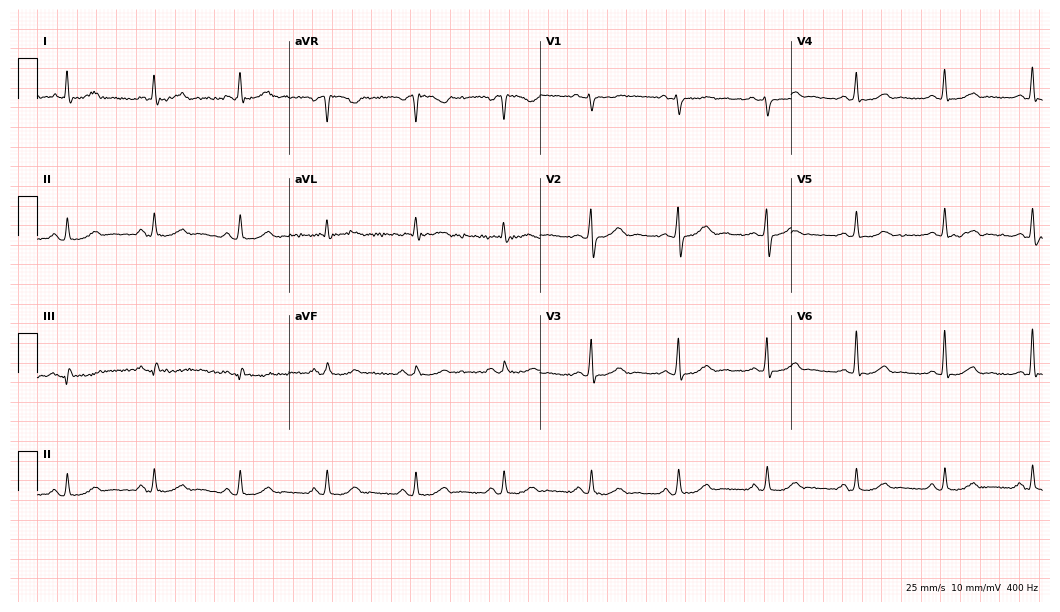
Resting 12-lead electrocardiogram. Patient: a 53-year-old man. None of these six findings is recorded: first-degree AV block, right bundle branch block (RBBB), left bundle branch block (LBBB), sinus bradycardia, atrial fibrillation (AF), sinus tachycardia.